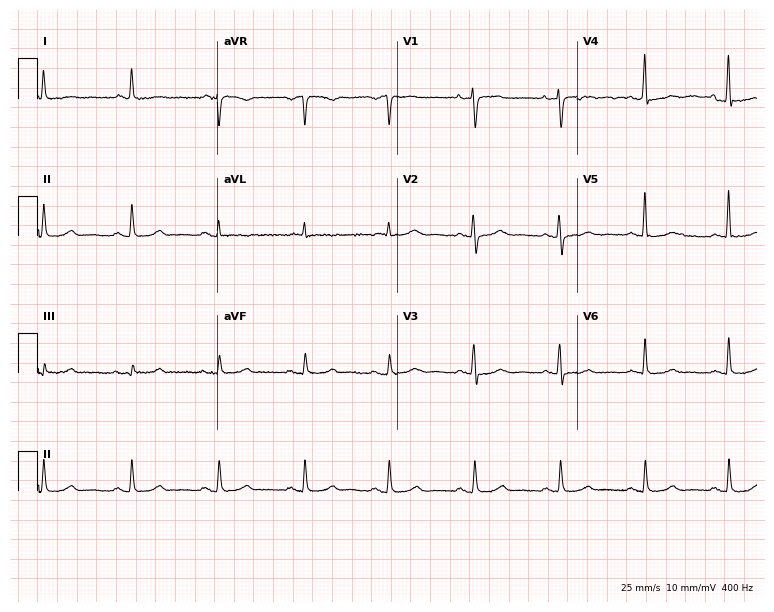
ECG (7.3-second recording at 400 Hz) — a 64-year-old female patient. Labelled as a normal ECG.